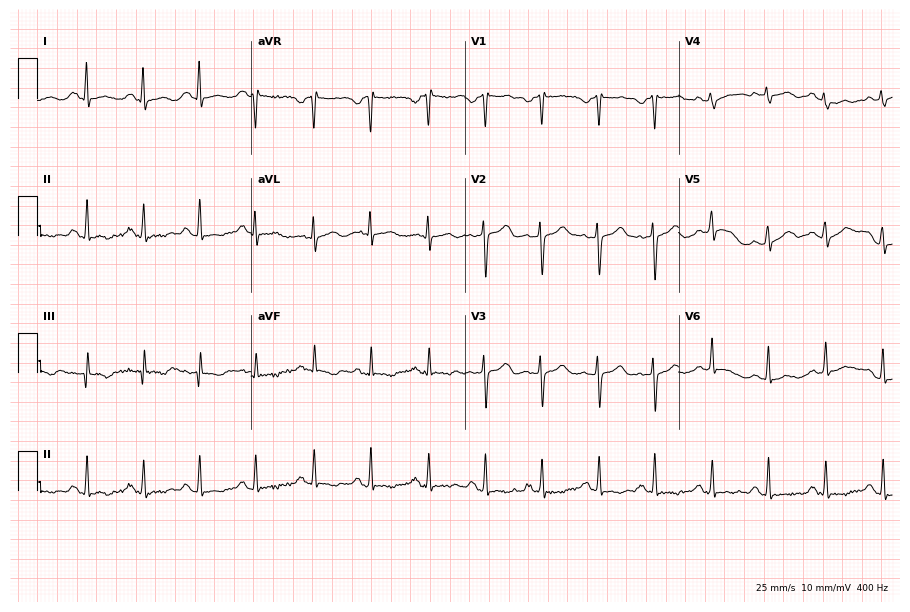
12-lead ECG from a female patient, 37 years old (8.7-second recording at 400 Hz). Recorded interpretation: within normal limits.